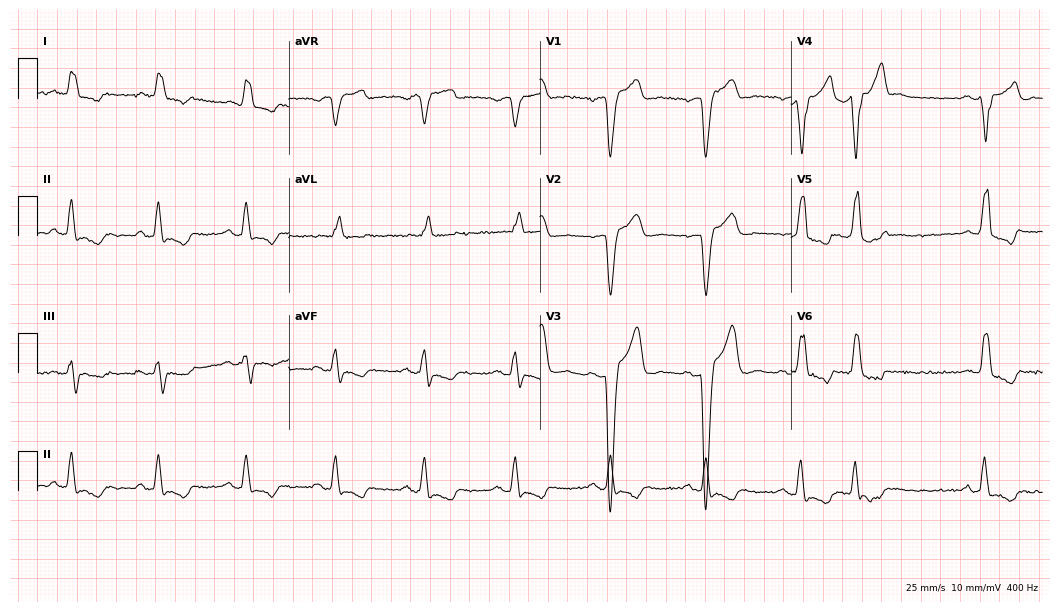
12-lead ECG from a male patient, 68 years old. Shows left bundle branch block.